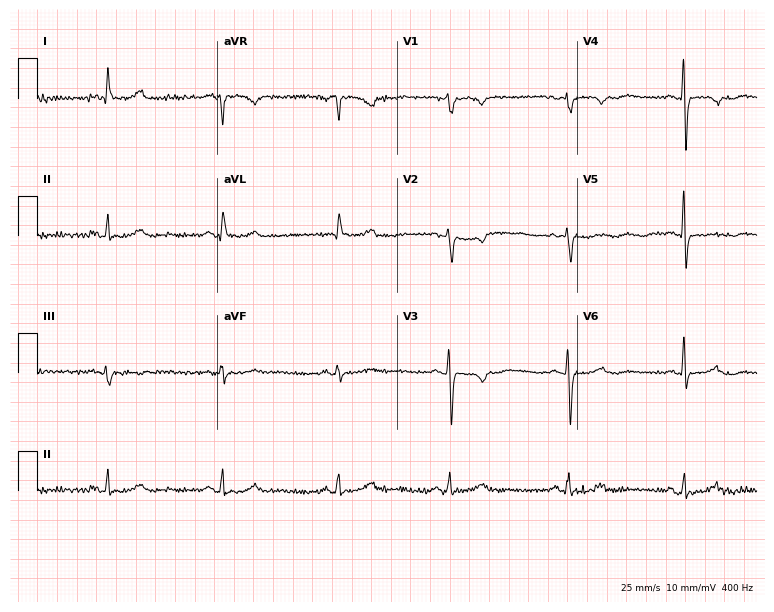
12-lead ECG (7.3-second recording at 400 Hz) from a woman, 73 years old. Screened for six findings — first-degree AV block, right bundle branch block (RBBB), left bundle branch block (LBBB), sinus bradycardia, atrial fibrillation (AF), sinus tachycardia — none is recorded. Other findings, if any, are not listed.